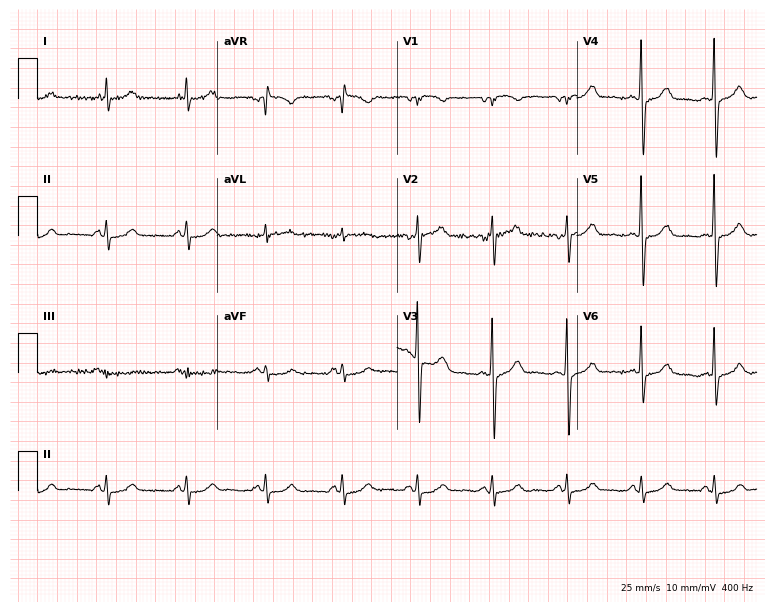
ECG (7.3-second recording at 400 Hz) — a 70-year-old male. Labelled as a normal ECG.